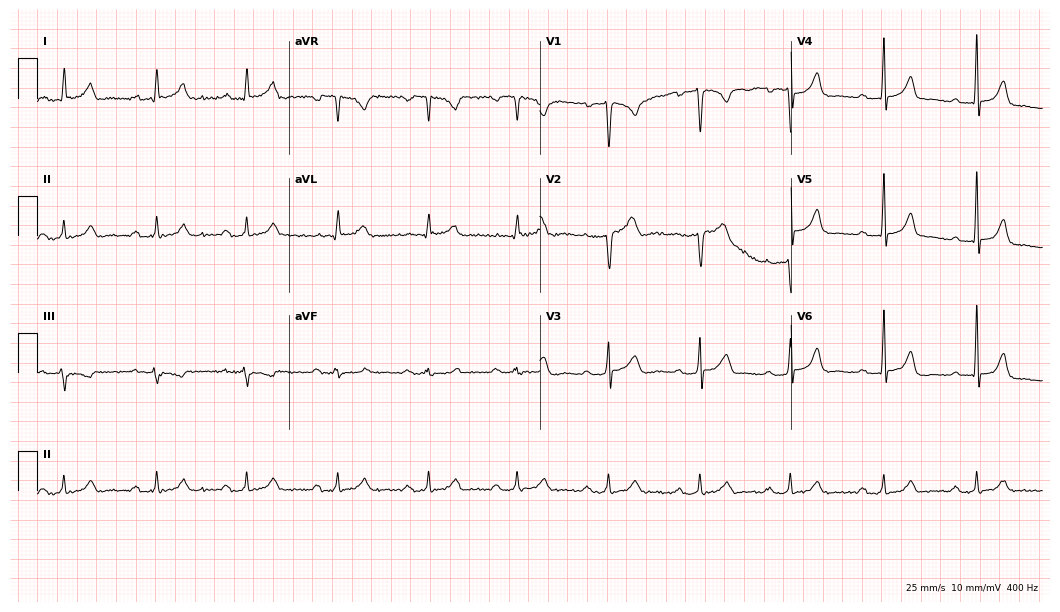
Electrocardiogram, a 34-year-old man. Interpretation includes first-degree AV block.